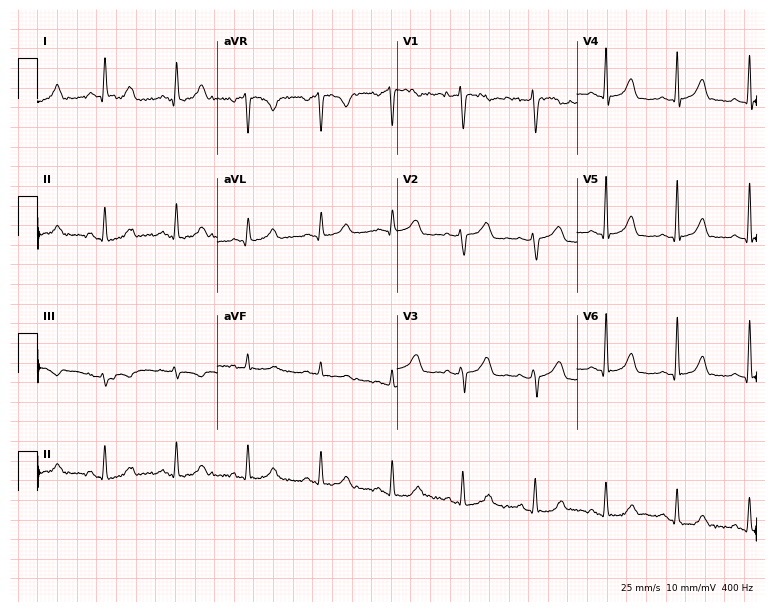
12-lead ECG from a female patient, 42 years old. No first-degree AV block, right bundle branch block, left bundle branch block, sinus bradycardia, atrial fibrillation or sinus tachycardia recorded for this tracing.